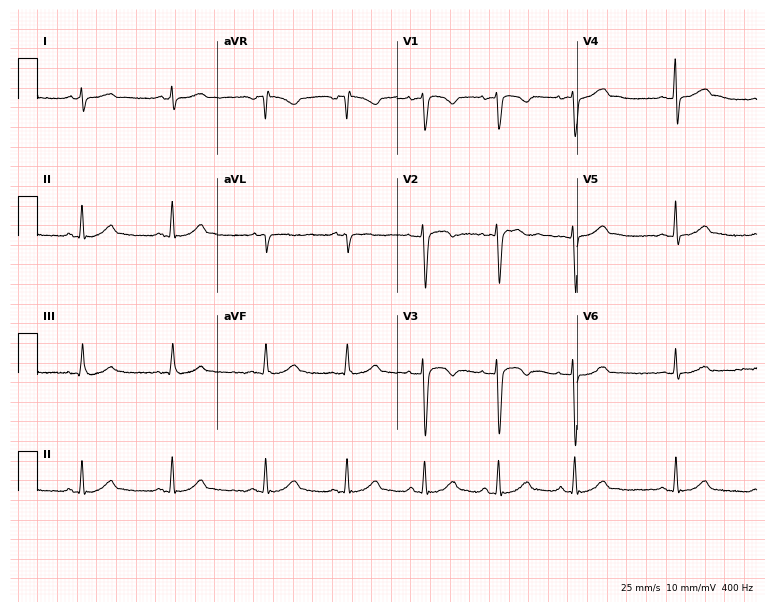
Electrocardiogram, an 18-year-old female patient. Overall reading on record: normal ECG.